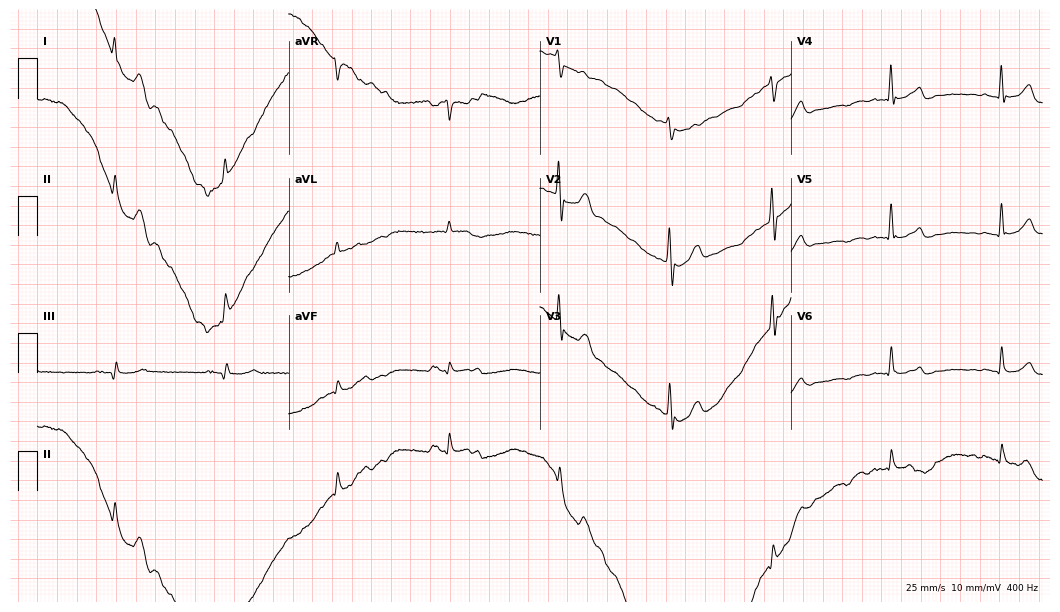
12-lead ECG (10.2-second recording at 400 Hz) from a 63-year-old male patient. Labelled as a normal ECG.